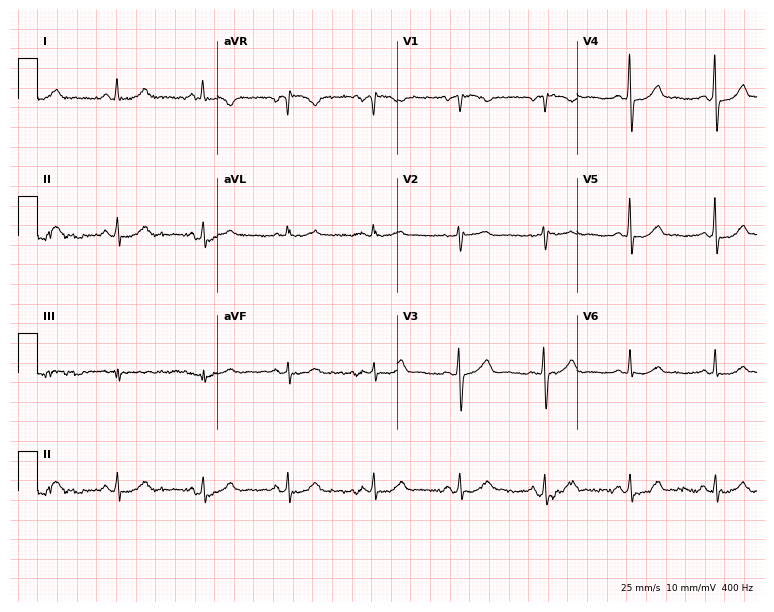
Resting 12-lead electrocardiogram (7.3-second recording at 400 Hz). Patient: a 43-year-old female. Read as a normal ECG.